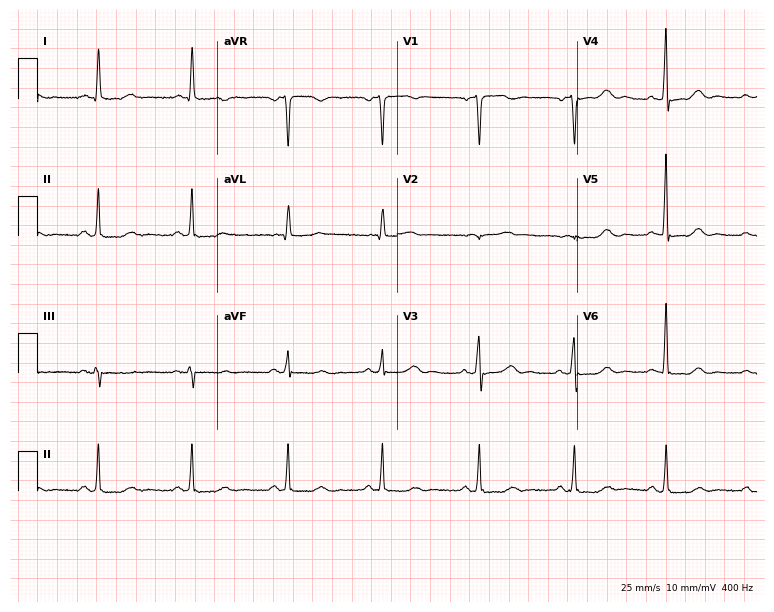
12-lead ECG (7.3-second recording at 400 Hz) from a woman, 52 years old. Screened for six findings — first-degree AV block, right bundle branch block, left bundle branch block, sinus bradycardia, atrial fibrillation, sinus tachycardia — none is recorded. Only these six findings were labelled.